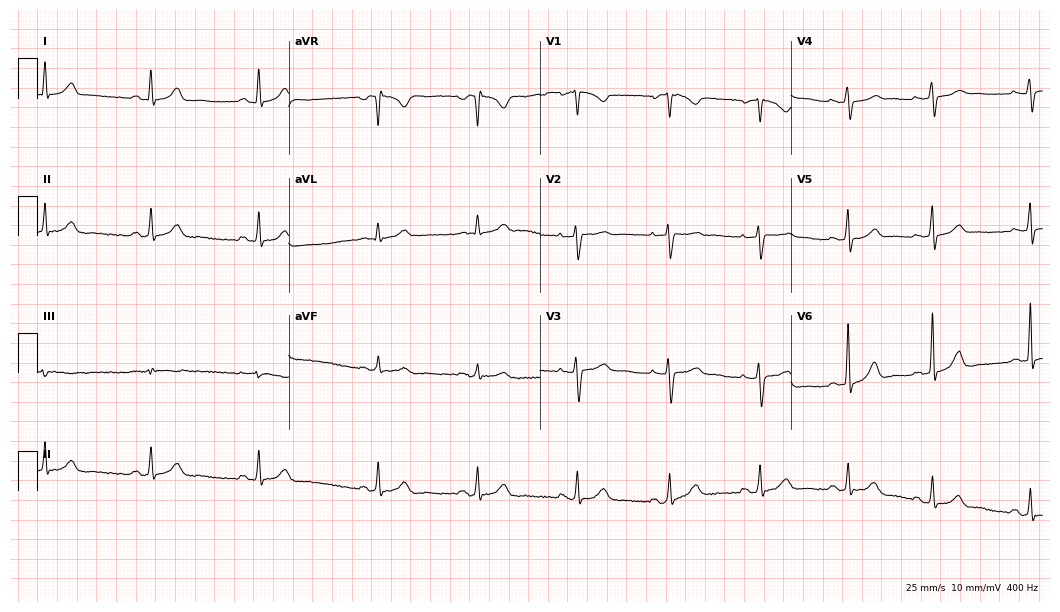
Electrocardiogram, a female, 24 years old. Of the six screened findings (first-degree AV block, right bundle branch block, left bundle branch block, sinus bradycardia, atrial fibrillation, sinus tachycardia), none is recorded.